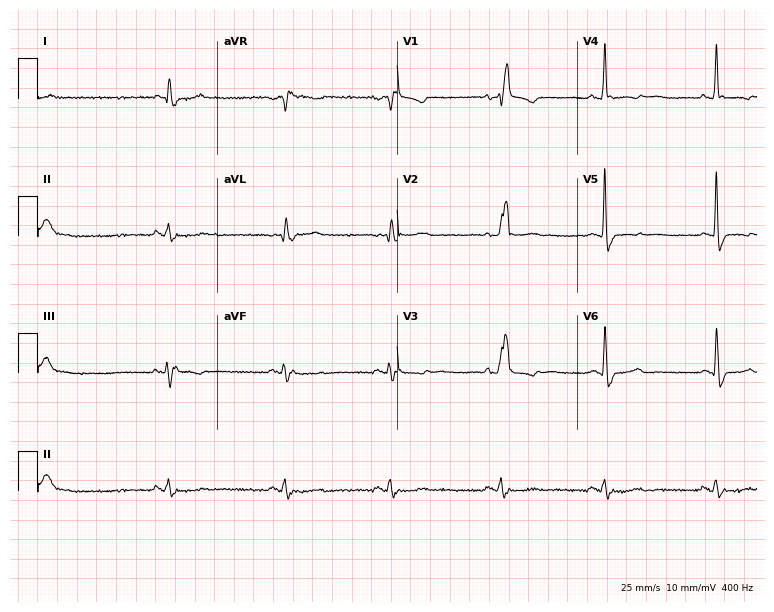
Resting 12-lead electrocardiogram (7.3-second recording at 400 Hz). Patient: a male, 79 years old. The tracing shows right bundle branch block.